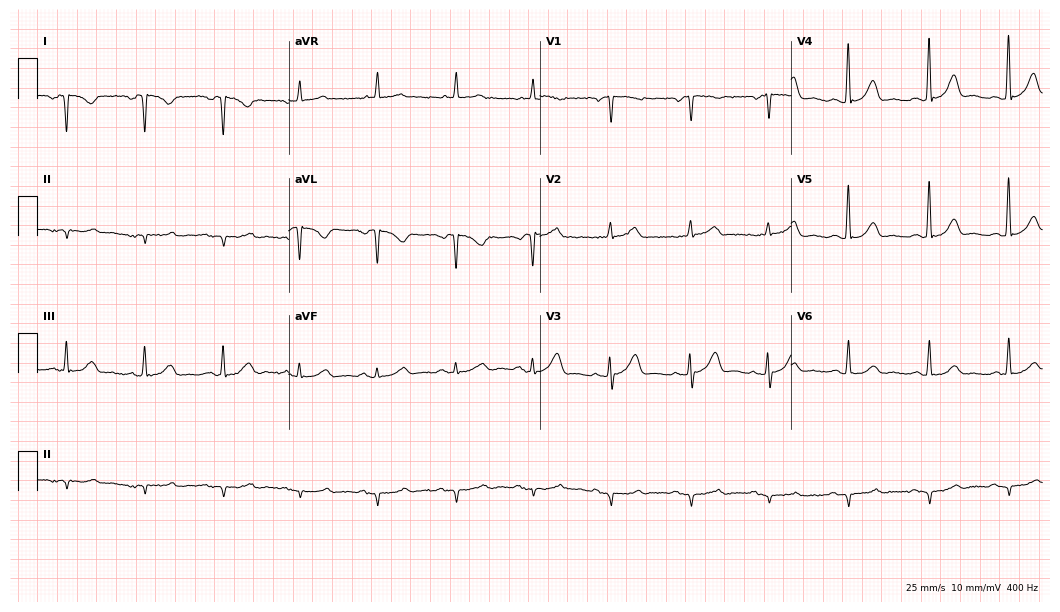
Electrocardiogram (10.2-second recording at 400 Hz), a 70-year-old female. Of the six screened findings (first-degree AV block, right bundle branch block, left bundle branch block, sinus bradycardia, atrial fibrillation, sinus tachycardia), none is recorded. Other findings, if any, are not listed.